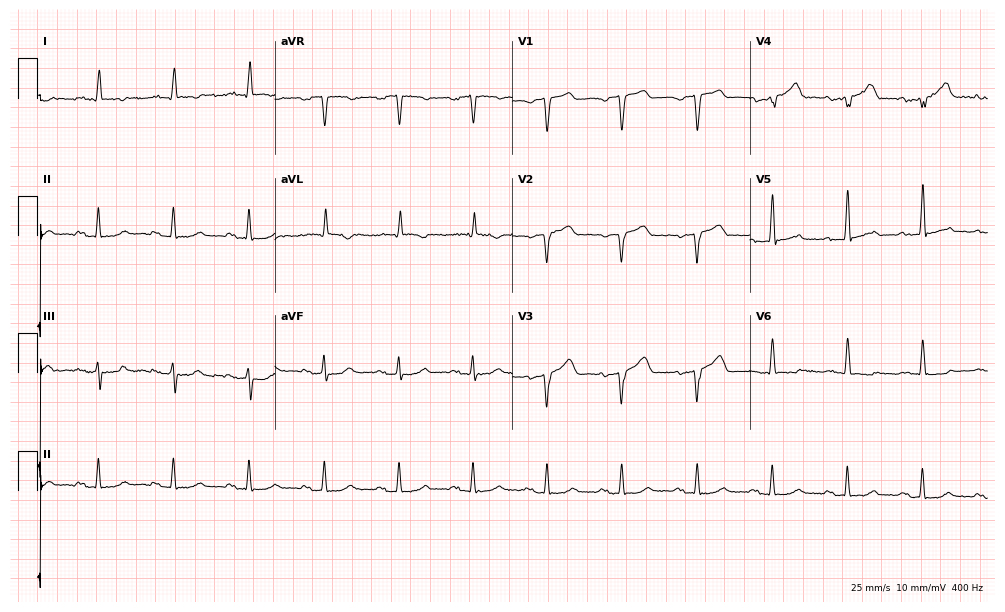
Standard 12-lead ECG recorded from a male patient, 65 years old (9.7-second recording at 400 Hz). Read as a normal ECG.